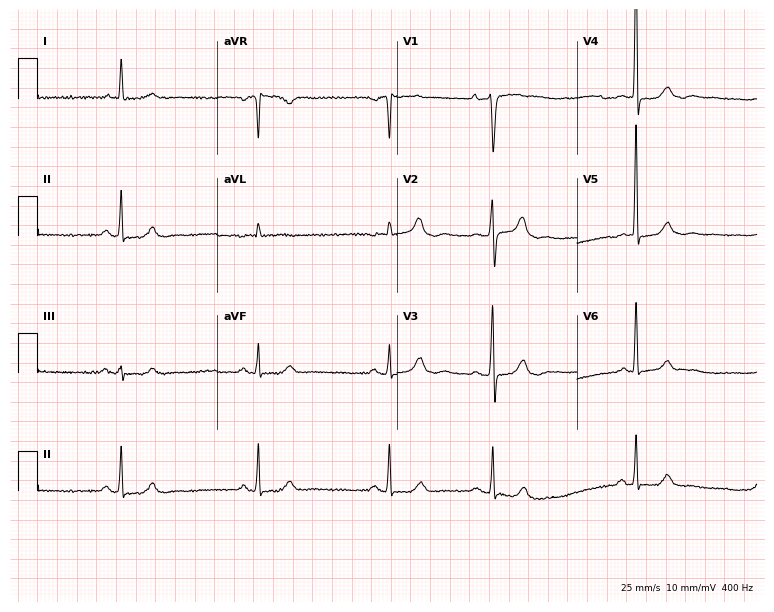
ECG (7.3-second recording at 400 Hz) — a woman, 60 years old. Findings include sinus bradycardia (a sinus rate of 50 beats per minute or less).